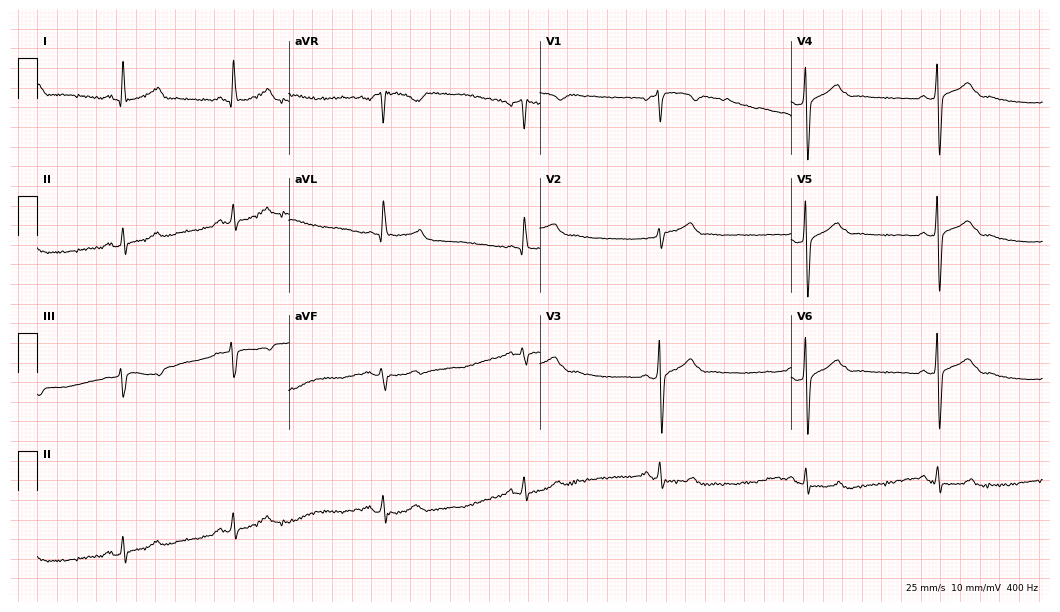
Electrocardiogram (10.2-second recording at 400 Hz), a 60-year-old male patient. Of the six screened findings (first-degree AV block, right bundle branch block, left bundle branch block, sinus bradycardia, atrial fibrillation, sinus tachycardia), none is recorded. Only these six findings were labelled.